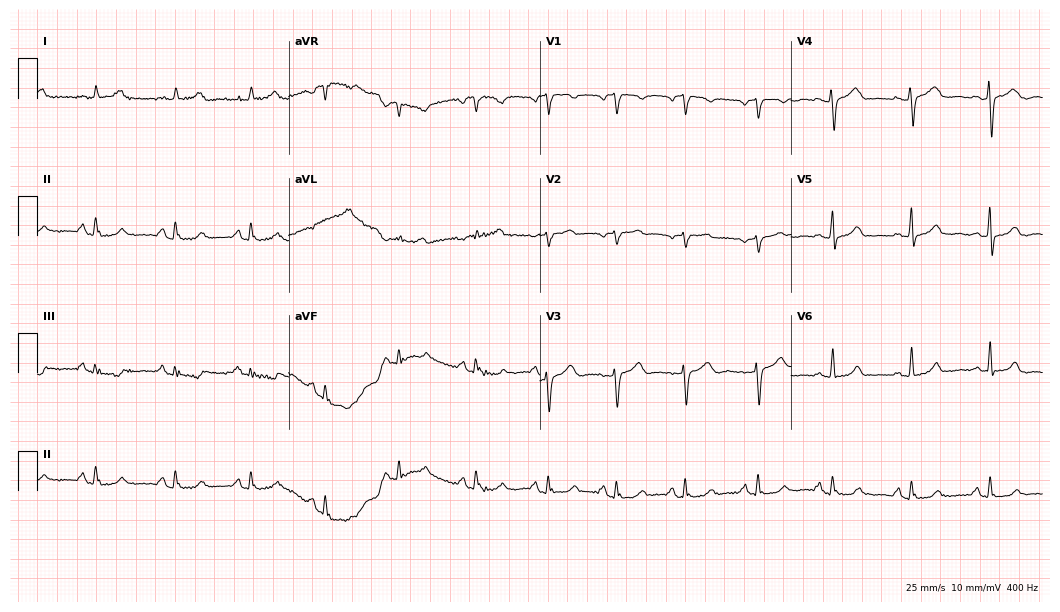
12-lead ECG from a female, 58 years old. No first-degree AV block, right bundle branch block, left bundle branch block, sinus bradycardia, atrial fibrillation or sinus tachycardia recorded for this tracing.